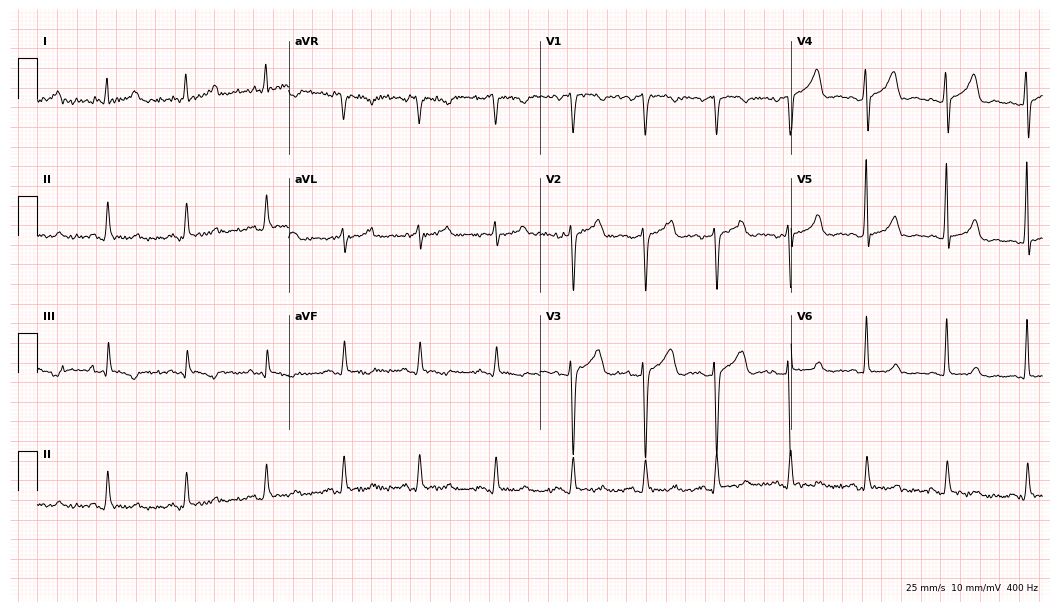
Electrocardiogram (10.2-second recording at 400 Hz), a female, 46 years old. Of the six screened findings (first-degree AV block, right bundle branch block (RBBB), left bundle branch block (LBBB), sinus bradycardia, atrial fibrillation (AF), sinus tachycardia), none is recorded.